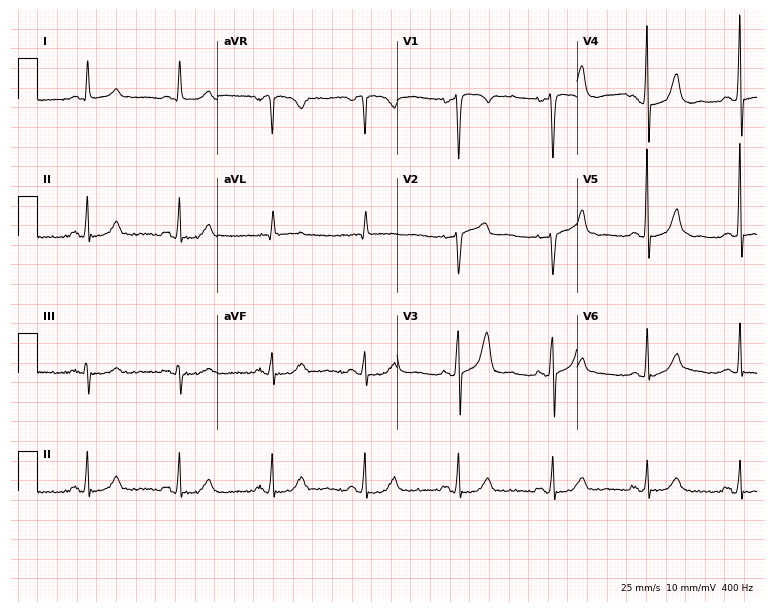
12-lead ECG from an 83-year-old female (7.3-second recording at 400 Hz). No first-degree AV block, right bundle branch block (RBBB), left bundle branch block (LBBB), sinus bradycardia, atrial fibrillation (AF) or sinus tachycardia recorded for this tracing.